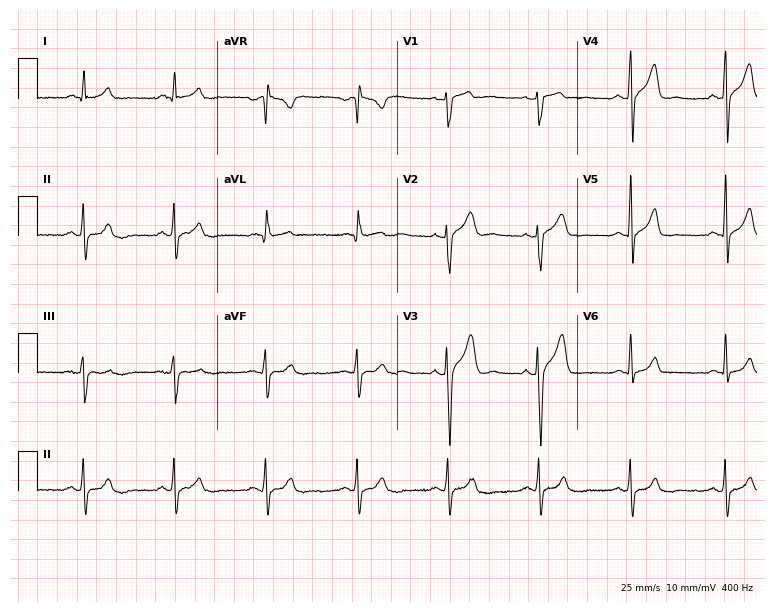
12-lead ECG from a man, 47 years old. Recorded interpretation: within normal limits.